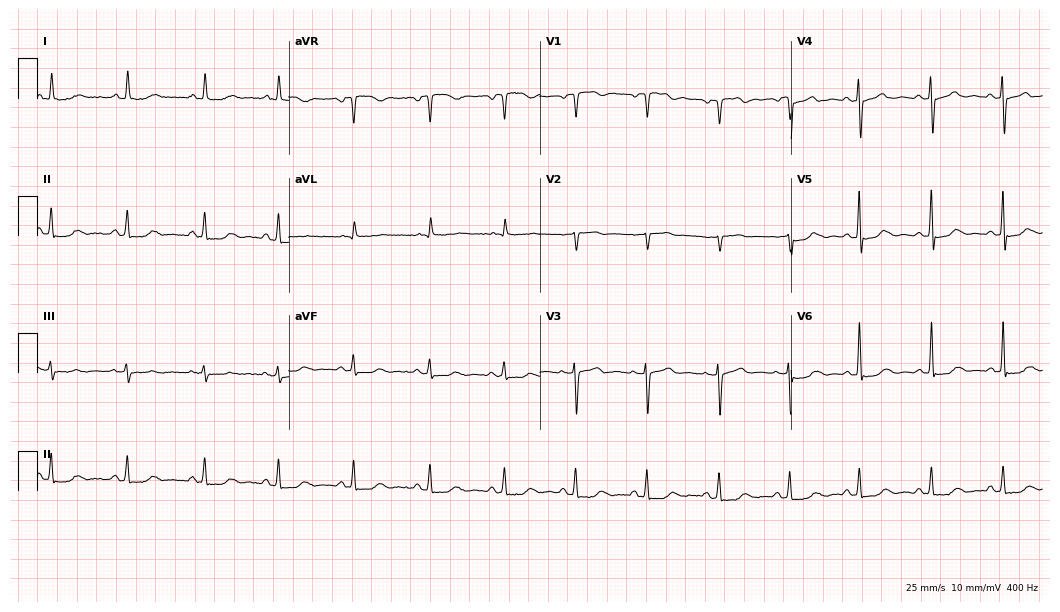
Resting 12-lead electrocardiogram. Patient: a 78-year-old woman. None of these six findings is recorded: first-degree AV block, right bundle branch block, left bundle branch block, sinus bradycardia, atrial fibrillation, sinus tachycardia. Findings outside these six are not listed.